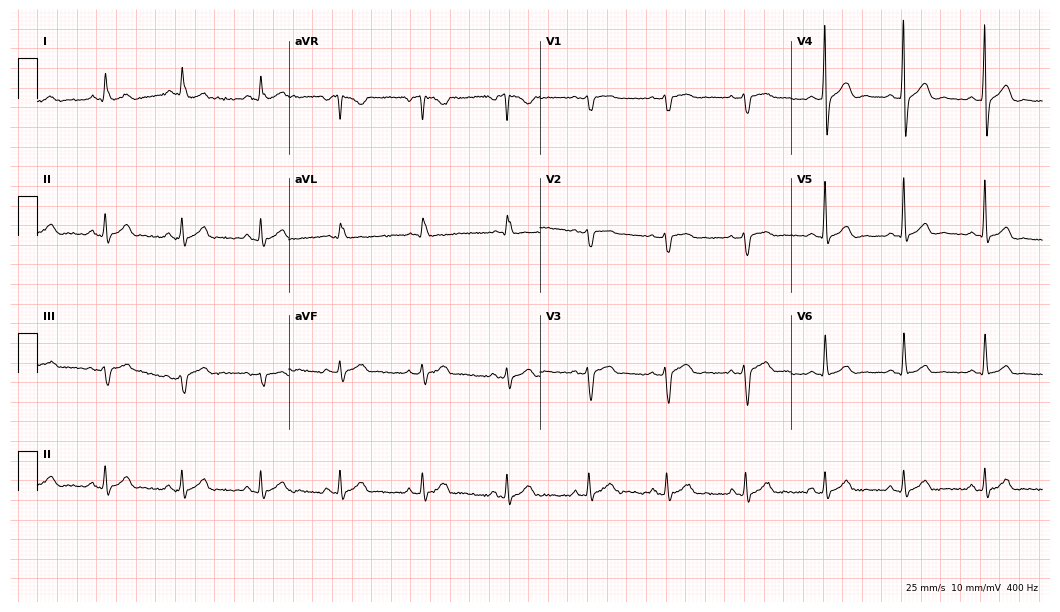
12-lead ECG from a male, 42 years old. Recorded interpretation: within normal limits.